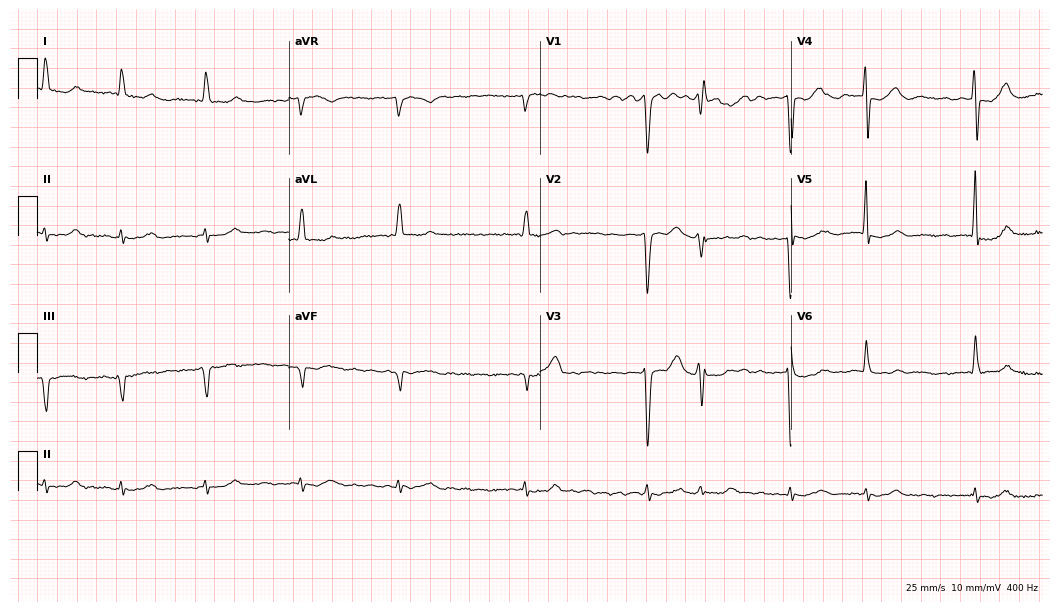
12-lead ECG from a male, 79 years old (10.2-second recording at 400 Hz). Shows atrial fibrillation.